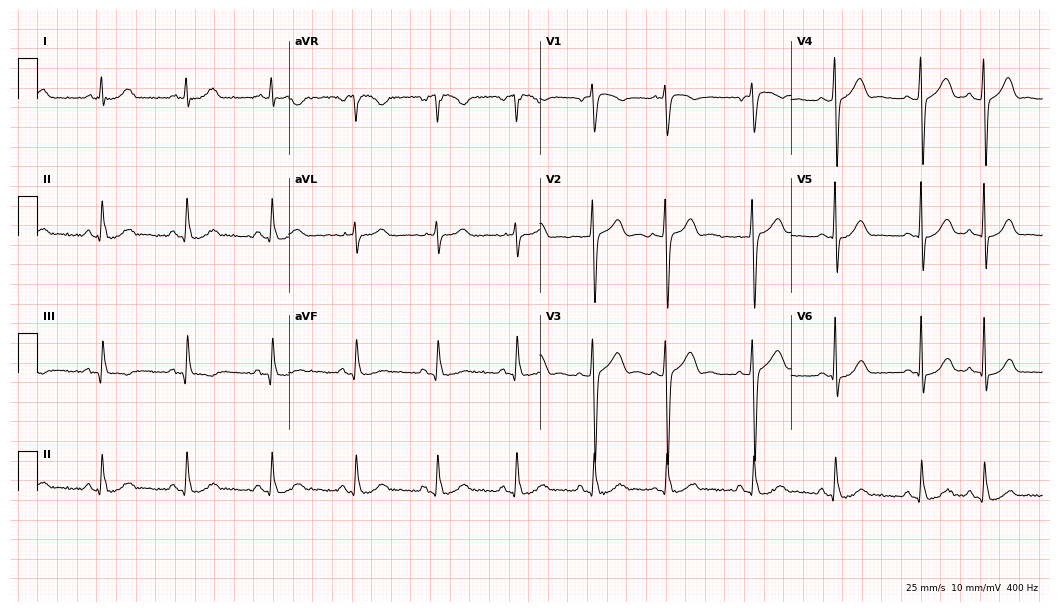
12-lead ECG (10.2-second recording at 400 Hz) from a man, 48 years old. Labelled as a normal ECG.